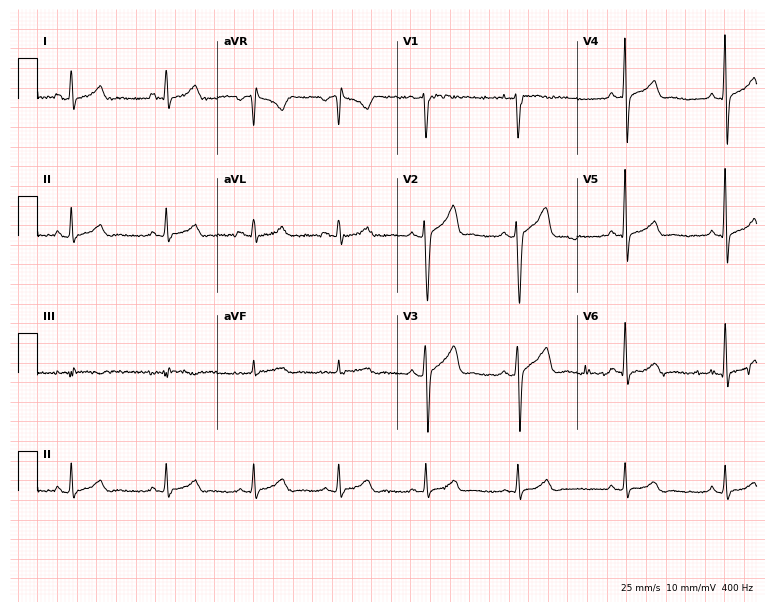
ECG (7.3-second recording at 400 Hz) — a male, 27 years old. Labelled as a normal ECG.